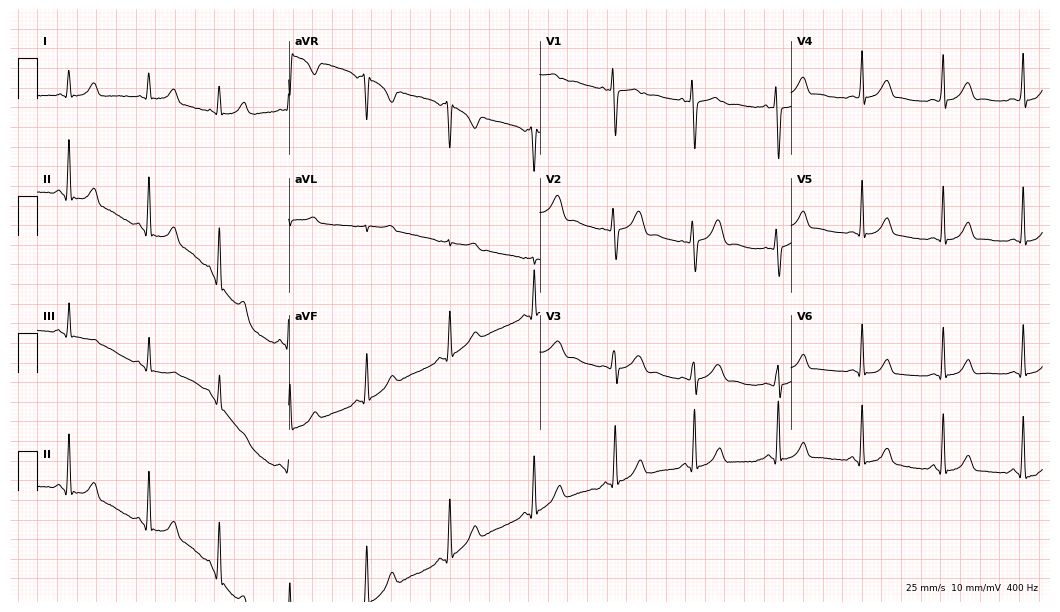
Standard 12-lead ECG recorded from a female patient, 23 years old. Read as a normal ECG.